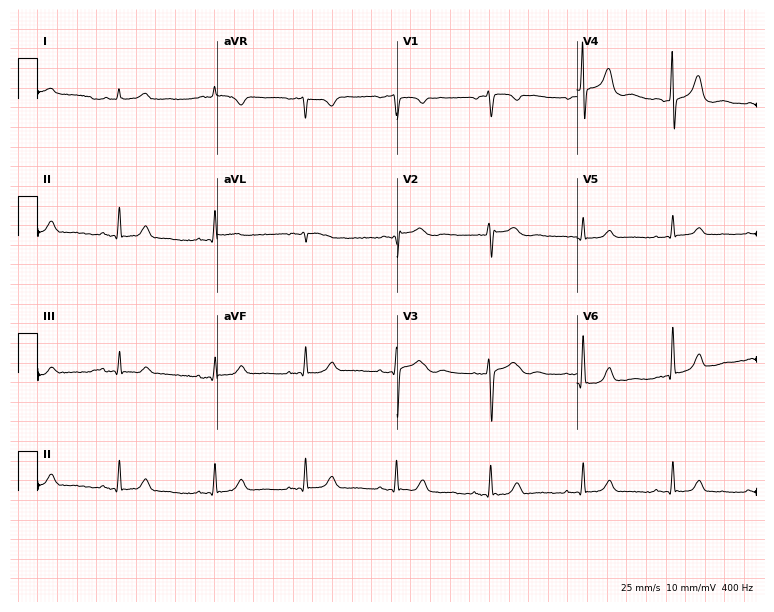
12-lead ECG (7.3-second recording at 400 Hz) from an 80-year-old woman. Screened for six findings — first-degree AV block, right bundle branch block, left bundle branch block, sinus bradycardia, atrial fibrillation, sinus tachycardia — none is recorded.